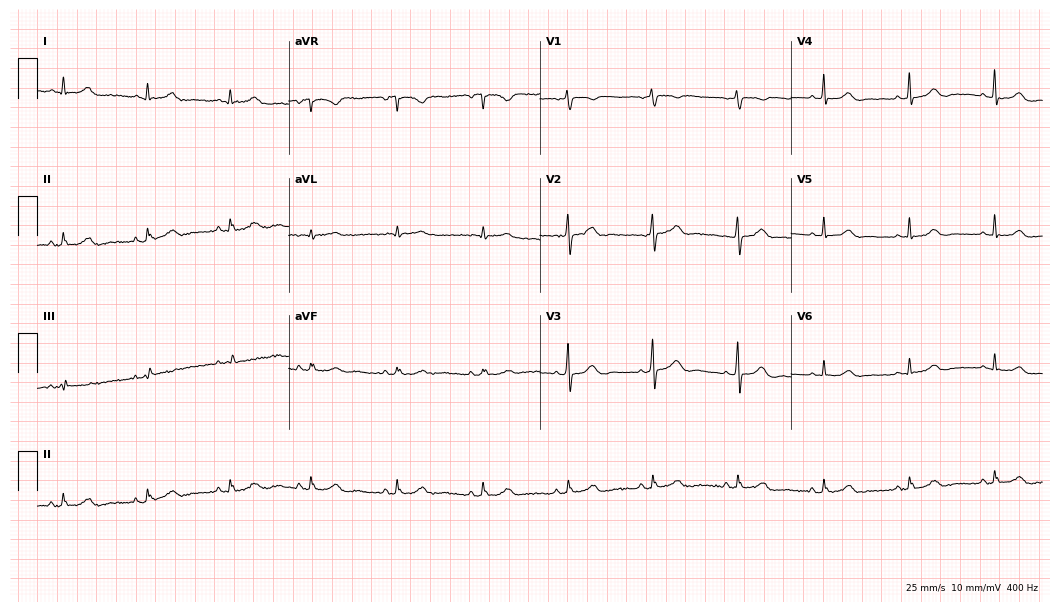
Electrocardiogram (10.2-second recording at 400 Hz), a woman, 58 years old. Overall reading on record: normal ECG.